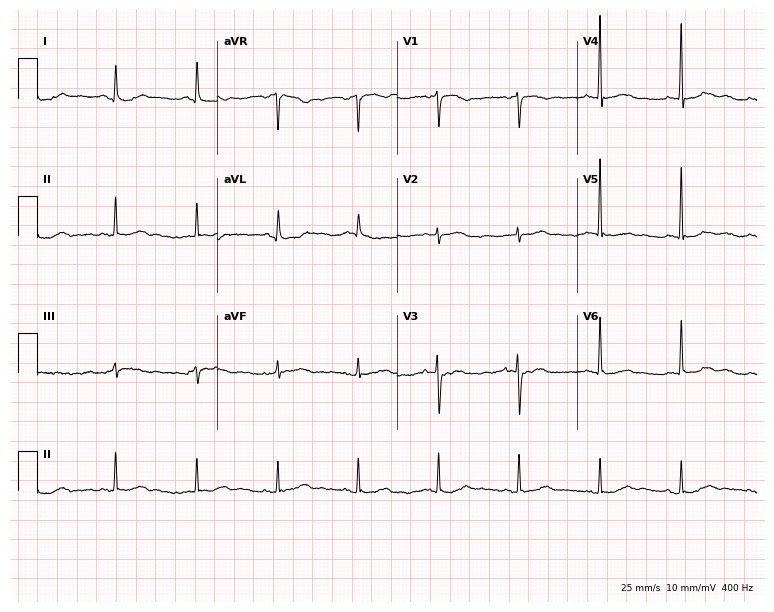
12-lead ECG from a 69-year-old female patient. Screened for six findings — first-degree AV block, right bundle branch block, left bundle branch block, sinus bradycardia, atrial fibrillation, sinus tachycardia — none is recorded. Findings outside these six are not listed.